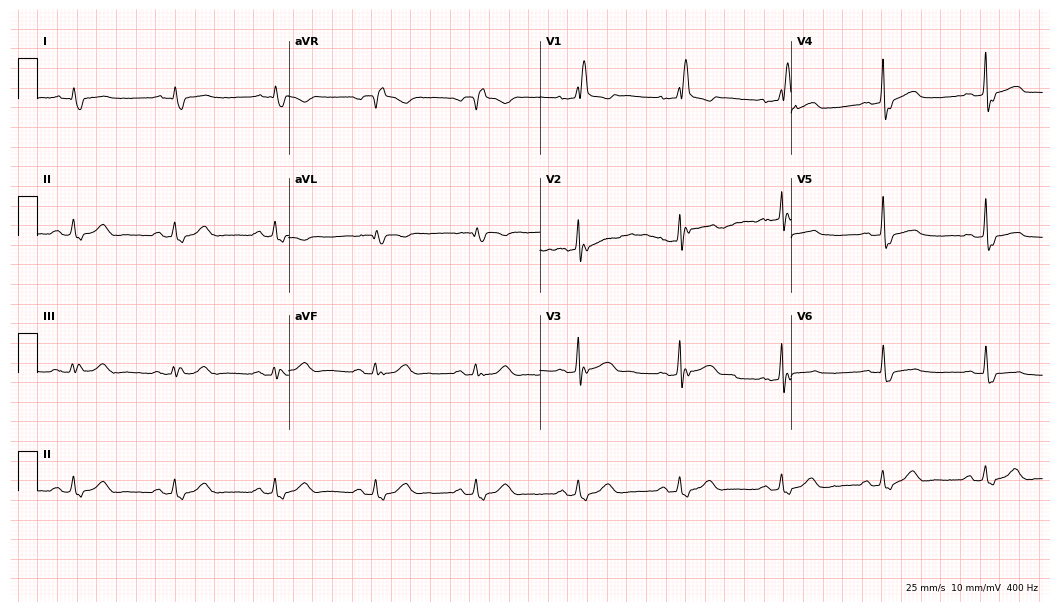
12-lead ECG (10.2-second recording at 400 Hz) from an 82-year-old man. Findings include right bundle branch block.